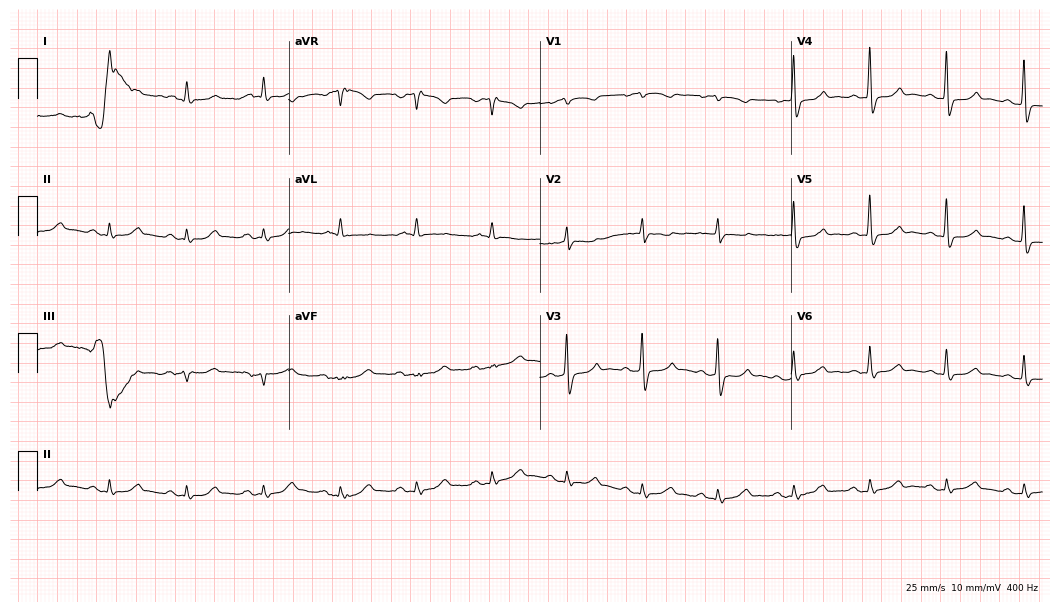
Electrocardiogram, a 77-year-old male patient. Of the six screened findings (first-degree AV block, right bundle branch block, left bundle branch block, sinus bradycardia, atrial fibrillation, sinus tachycardia), none is recorded.